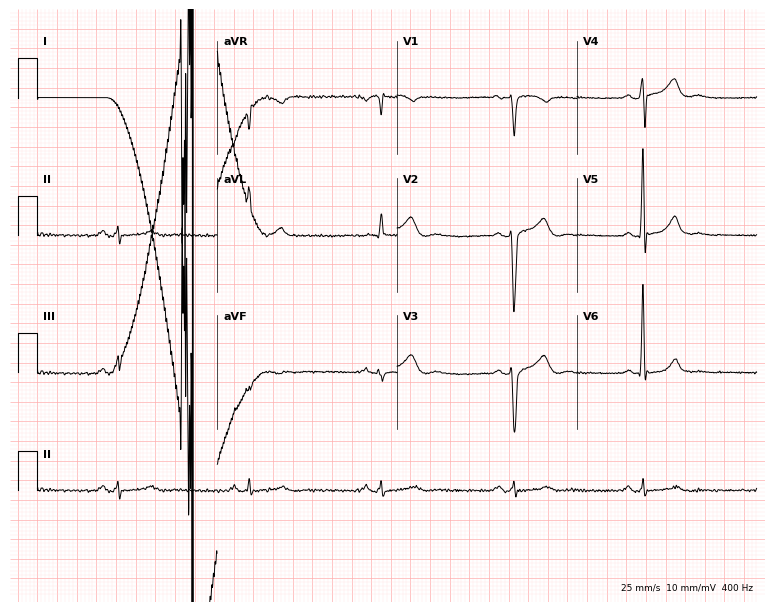
ECG (7.3-second recording at 400 Hz) — a 60-year-old male. Screened for six findings — first-degree AV block, right bundle branch block, left bundle branch block, sinus bradycardia, atrial fibrillation, sinus tachycardia — none is recorded.